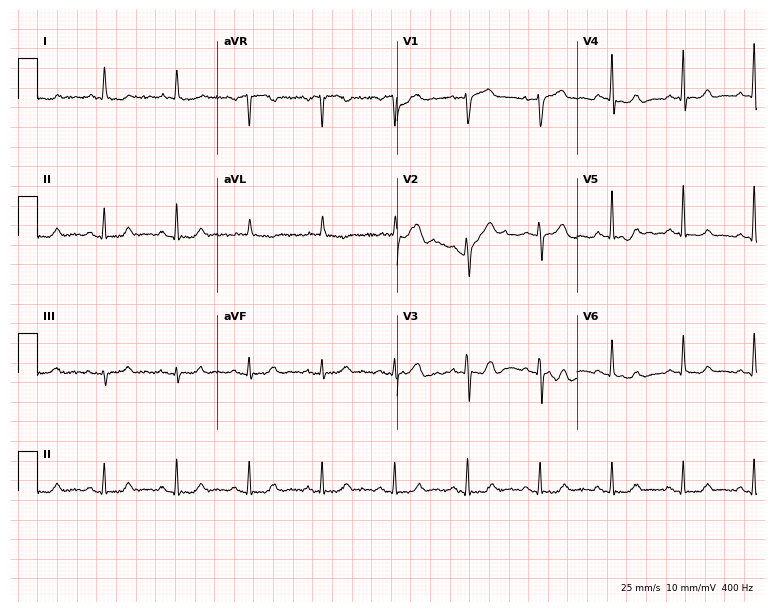
12-lead ECG from a 65-year-old male patient. Screened for six findings — first-degree AV block, right bundle branch block, left bundle branch block, sinus bradycardia, atrial fibrillation, sinus tachycardia — none is recorded.